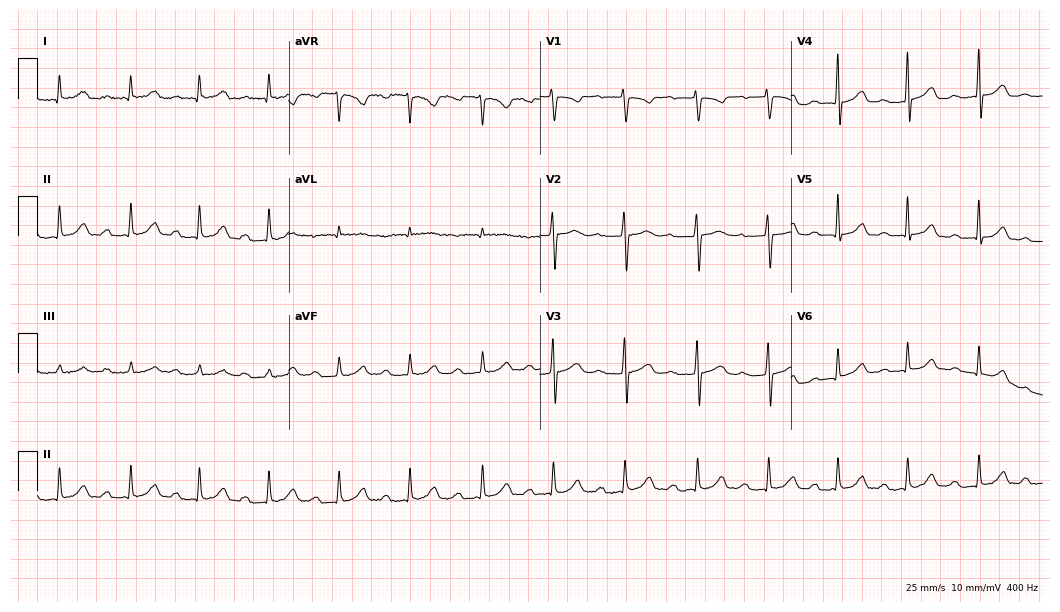
Standard 12-lead ECG recorded from a 55-year-old female patient. The tracing shows first-degree AV block.